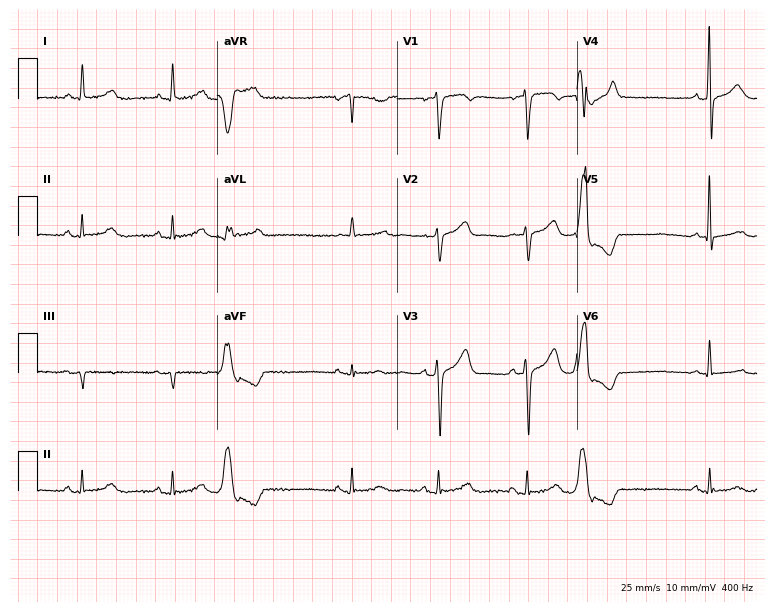
12-lead ECG from a man, 70 years old. Screened for six findings — first-degree AV block, right bundle branch block, left bundle branch block, sinus bradycardia, atrial fibrillation, sinus tachycardia — none is recorded. Only these six findings were labelled.